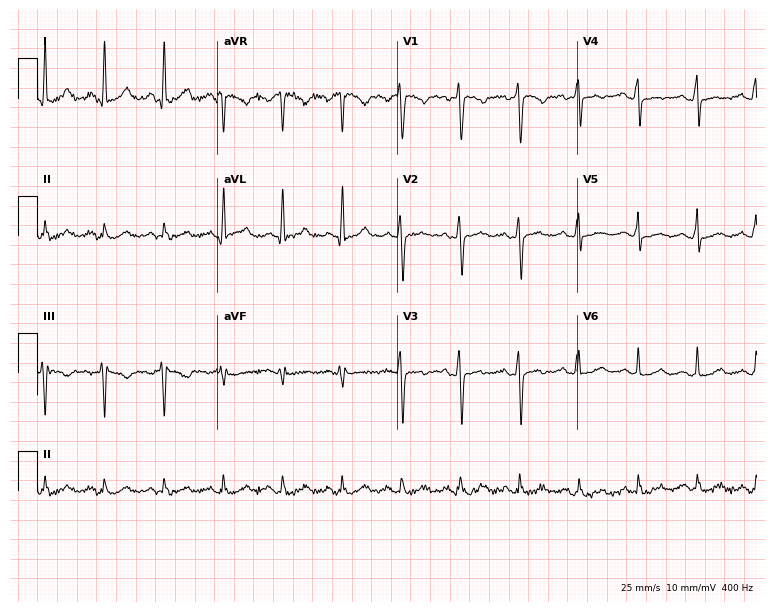
12-lead ECG from a female, 31 years old (7.3-second recording at 400 Hz). No first-degree AV block, right bundle branch block, left bundle branch block, sinus bradycardia, atrial fibrillation or sinus tachycardia recorded for this tracing. Findings outside these six are not listed.